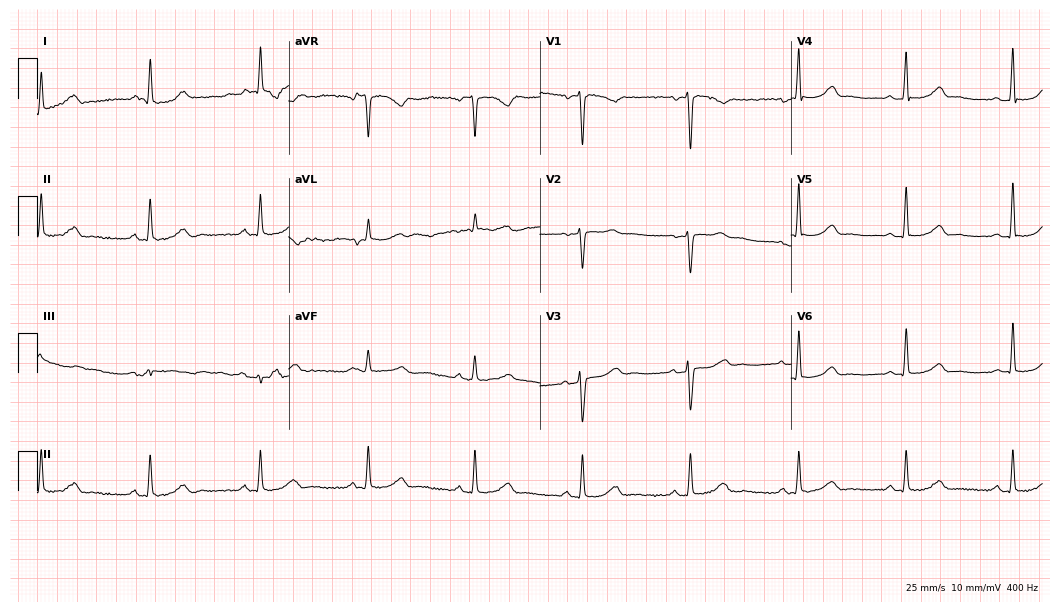
ECG (10.2-second recording at 400 Hz) — a female patient, 50 years old. Labelled as a normal ECG.